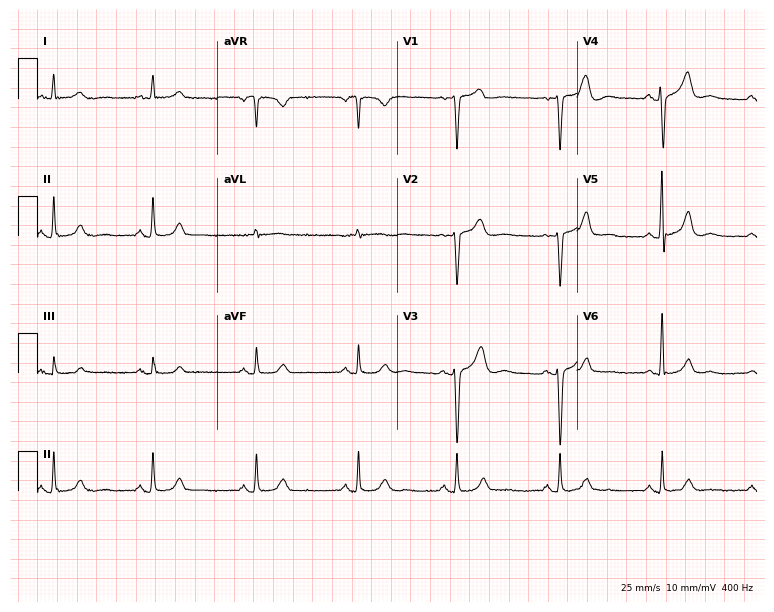
Resting 12-lead electrocardiogram (7.3-second recording at 400 Hz). Patient: a man, 63 years old. None of these six findings is recorded: first-degree AV block, right bundle branch block, left bundle branch block, sinus bradycardia, atrial fibrillation, sinus tachycardia. Only these six findings were labelled.